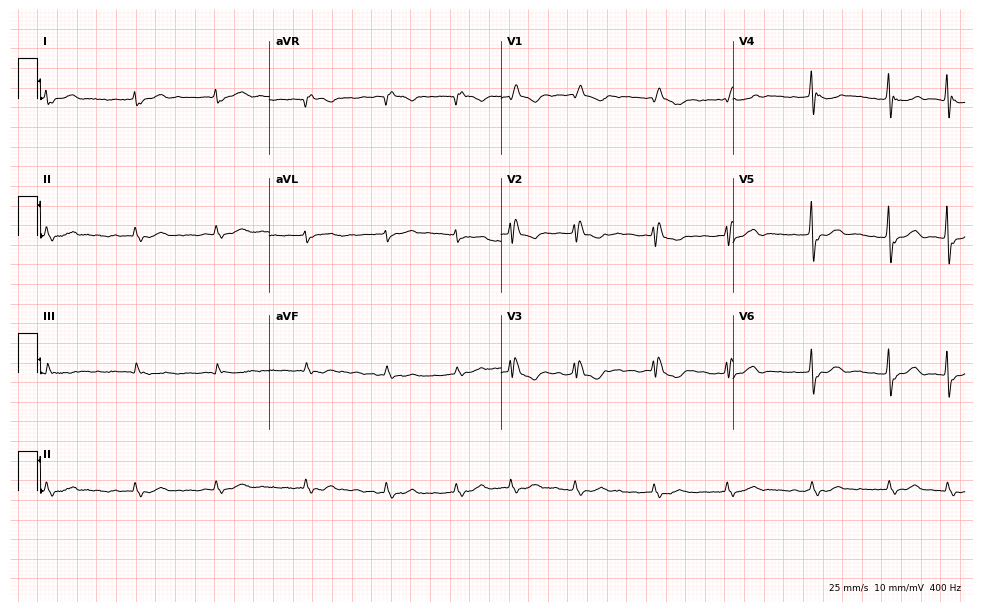
12-lead ECG from a woman, 82 years old (9.5-second recording at 400 Hz). Shows right bundle branch block (RBBB), atrial fibrillation (AF).